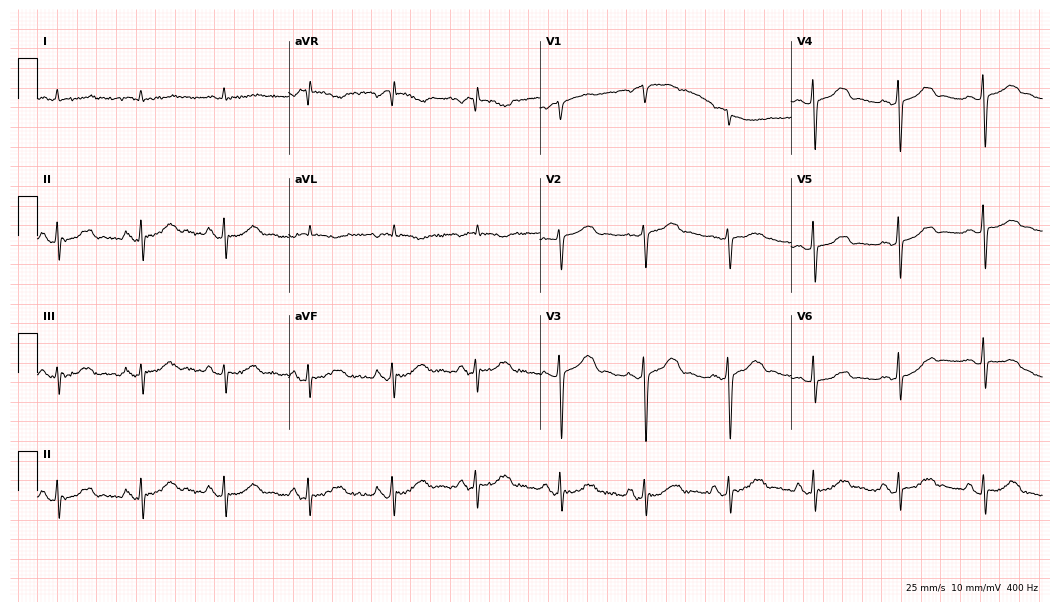
ECG (10.2-second recording at 400 Hz) — a female, 76 years old. Screened for six findings — first-degree AV block, right bundle branch block, left bundle branch block, sinus bradycardia, atrial fibrillation, sinus tachycardia — none is recorded.